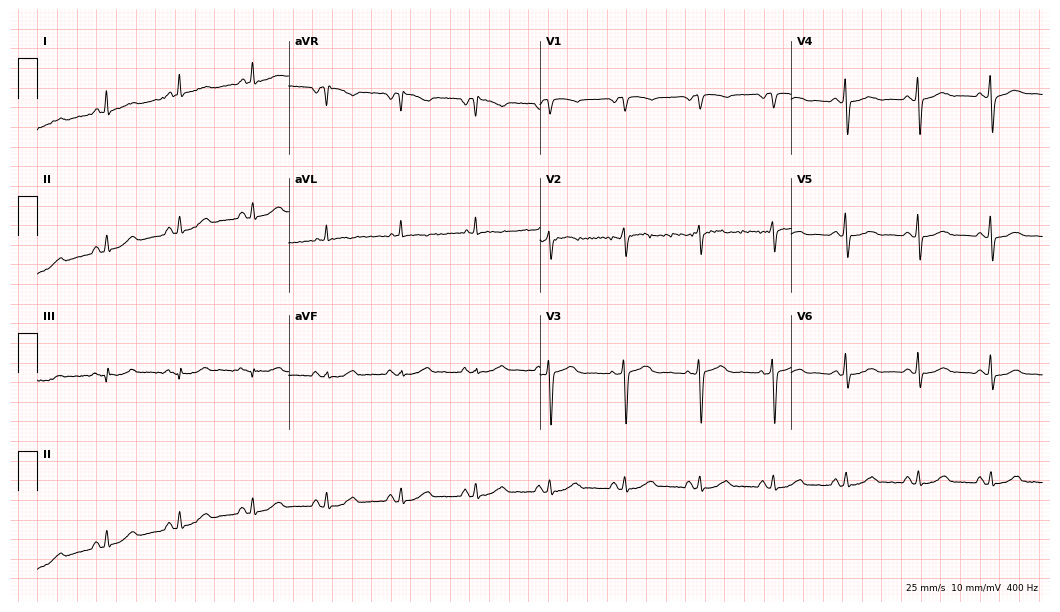
Standard 12-lead ECG recorded from a female patient, 69 years old. None of these six findings is recorded: first-degree AV block, right bundle branch block (RBBB), left bundle branch block (LBBB), sinus bradycardia, atrial fibrillation (AF), sinus tachycardia.